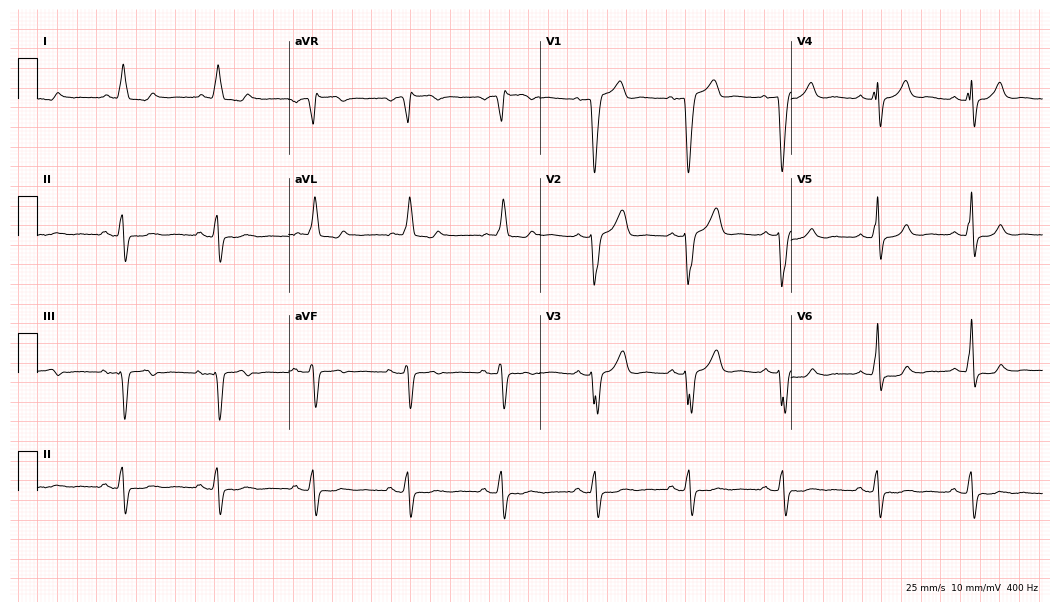
Resting 12-lead electrocardiogram (10.2-second recording at 400 Hz). Patient: a male, 78 years old. None of these six findings is recorded: first-degree AV block, right bundle branch block, left bundle branch block, sinus bradycardia, atrial fibrillation, sinus tachycardia. Findings outside these six are not listed.